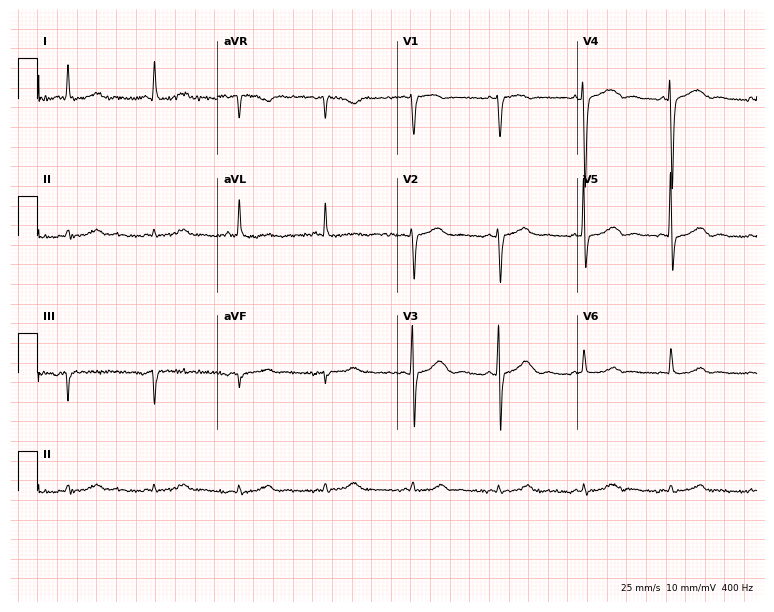
Standard 12-lead ECG recorded from a female patient, 78 years old. Read as a normal ECG.